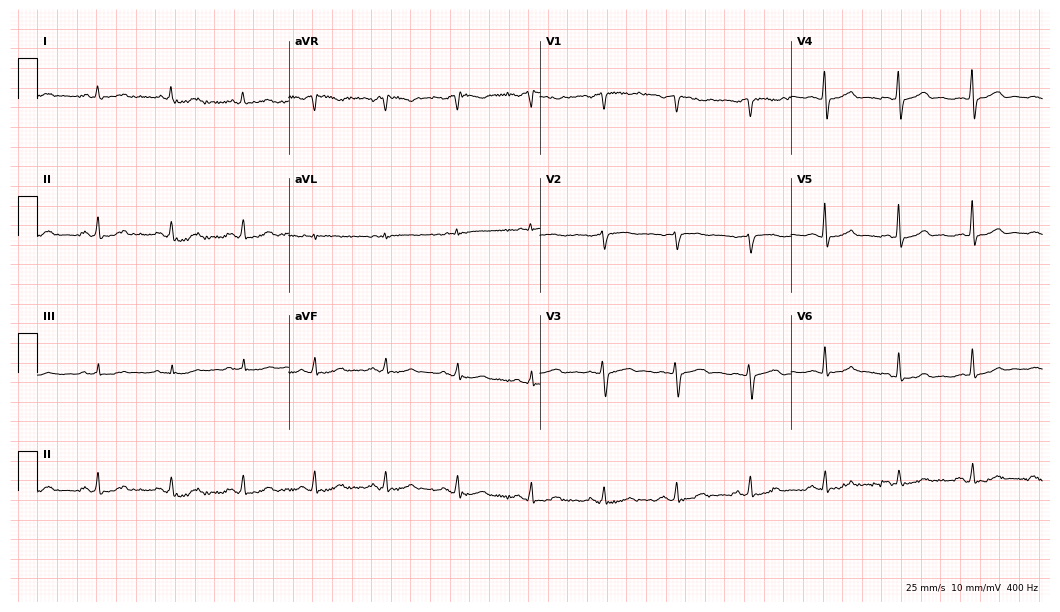
Resting 12-lead electrocardiogram. Patient: a 53-year-old woman. None of these six findings is recorded: first-degree AV block, right bundle branch block (RBBB), left bundle branch block (LBBB), sinus bradycardia, atrial fibrillation (AF), sinus tachycardia. Other findings, if any, are not listed.